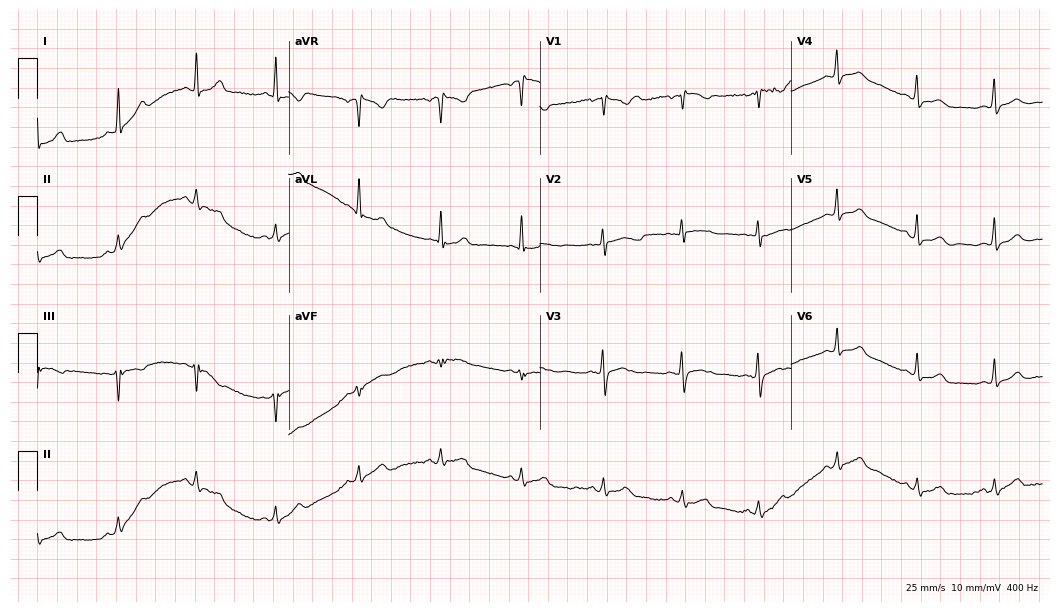
ECG (10.2-second recording at 400 Hz) — a female, 35 years old. Screened for six findings — first-degree AV block, right bundle branch block, left bundle branch block, sinus bradycardia, atrial fibrillation, sinus tachycardia — none is recorded. Other findings, if any, are not listed.